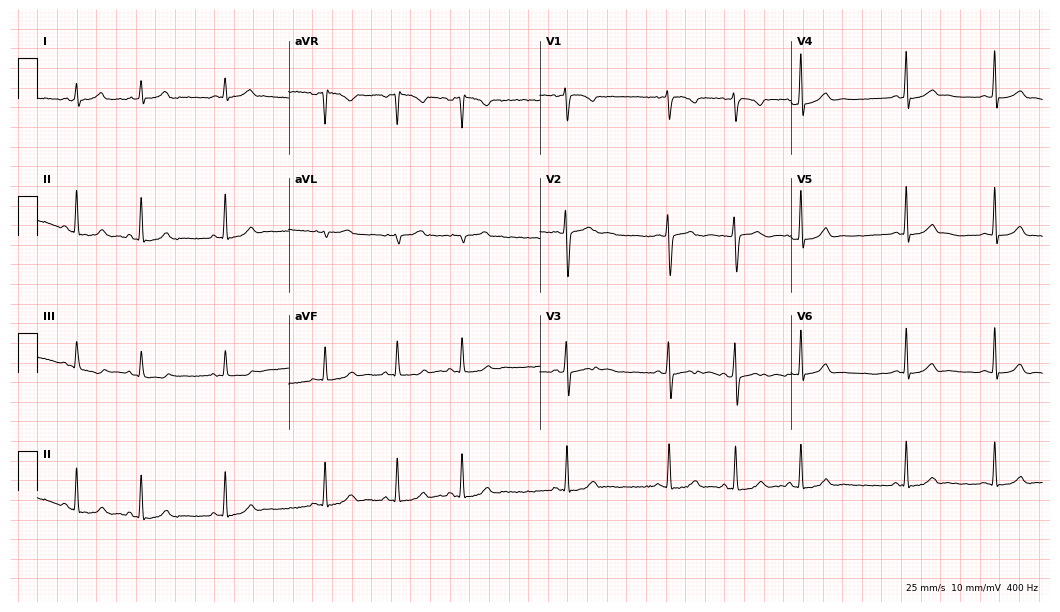
12-lead ECG from a 20-year-old woman. Recorded interpretation: within normal limits.